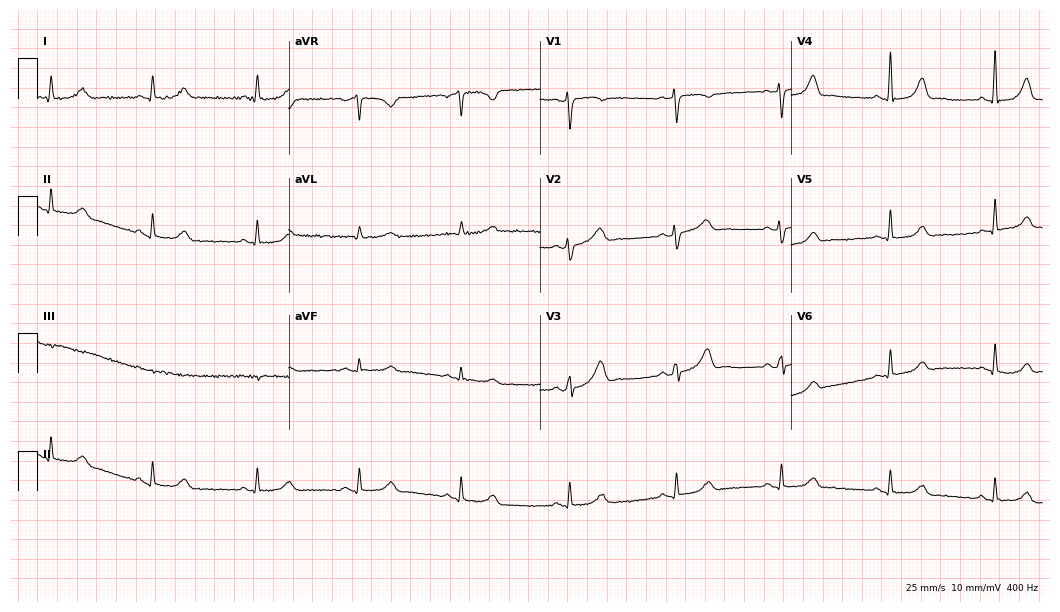
ECG (10.2-second recording at 400 Hz) — a woman, 38 years old. Labelled as a normal ECG.